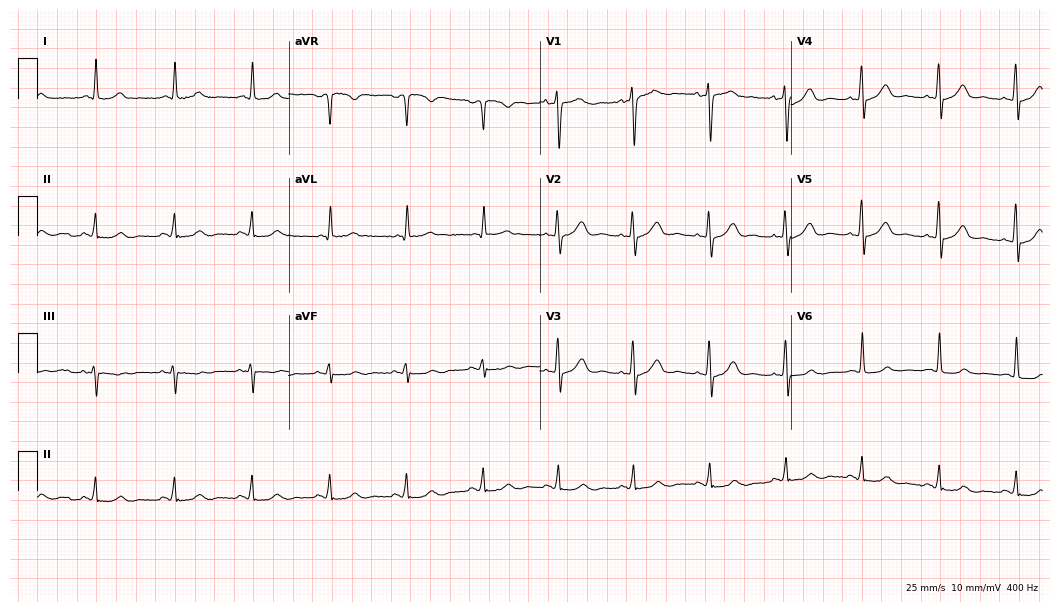
Electrocardiogram (10.2-second recording at 400 Hz), a man, 61 years old. Overall reading on record: normal ECG.